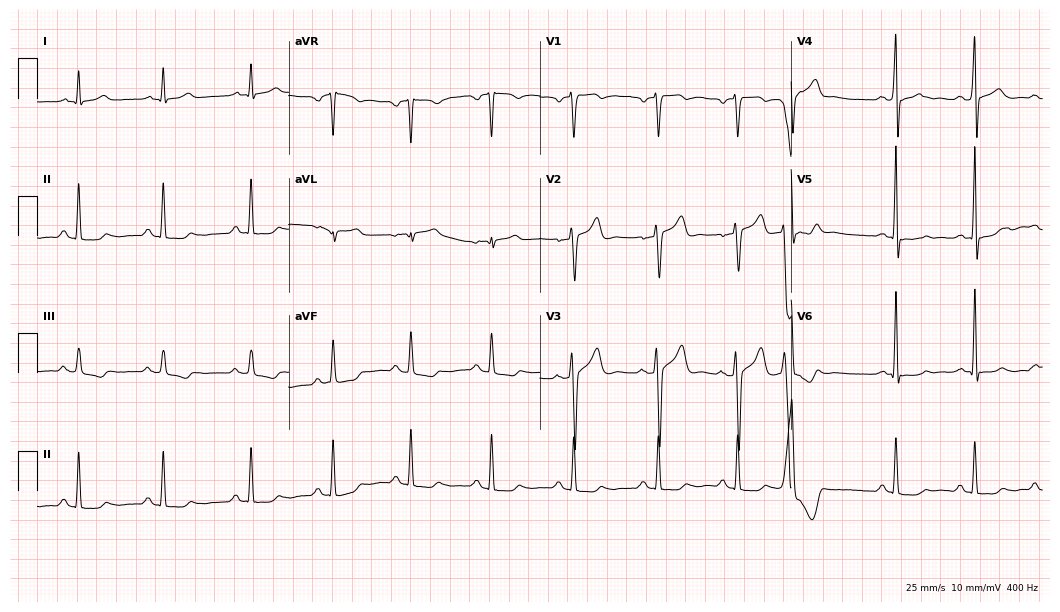
12-lead ECG (10.2-second recording at 400 Hz) from a male, 49 years old. Screened for six findings — first-degree AV block, right bundle branch block, left bundle branch block, sinus bradycardia, atrial fibrillation, sinus tachycardia — none is recorded.